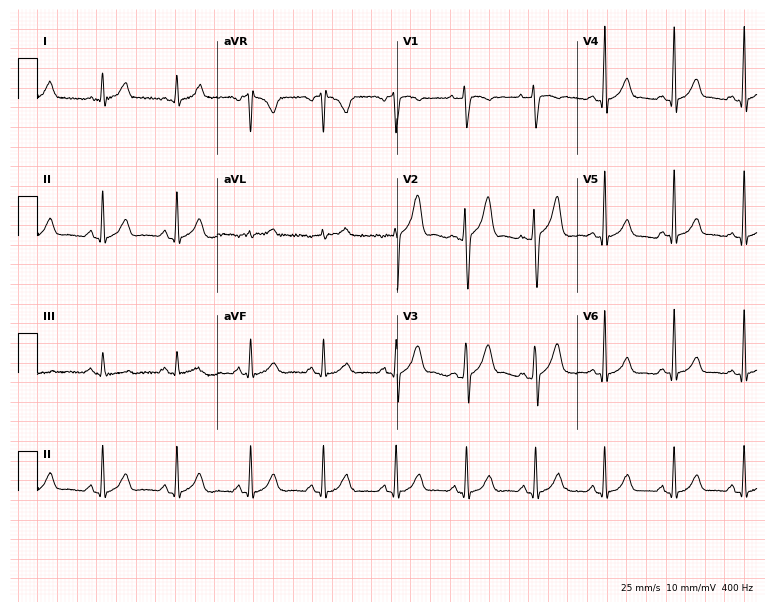
ECG (7.3-second recording at 400 Hz) — a 28-year-old man. Labelled as a normal ECG.